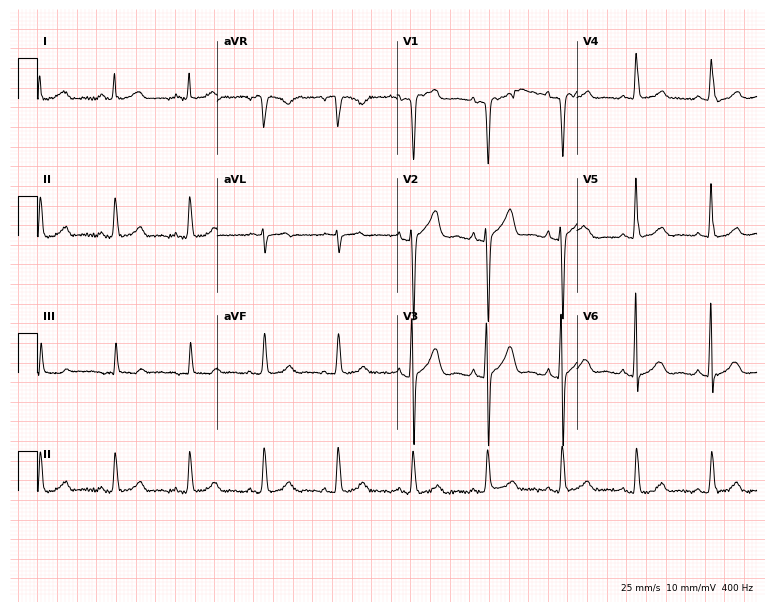
Resting 12-lead electrocardiogram. Patient: a man, 70 years old. Read as a normal ECG.